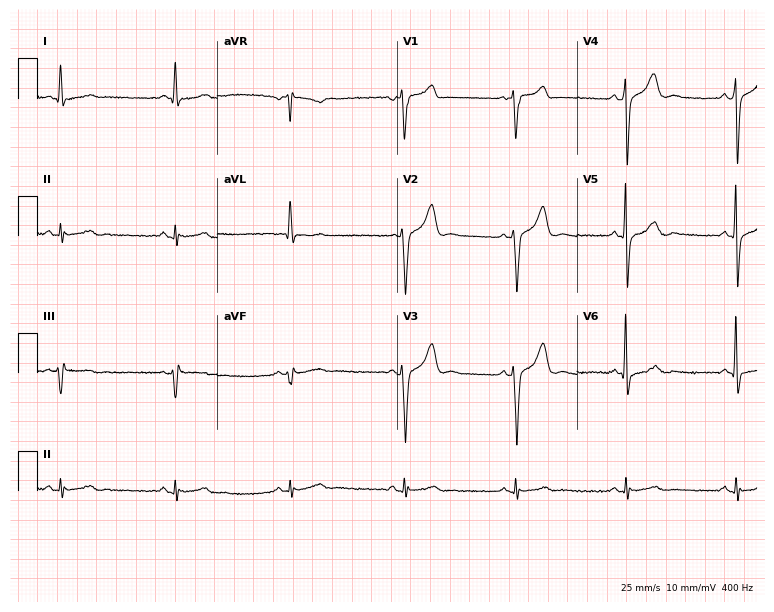
Resting 12-lead electrocardiogram (7.3-second recording at 400 Hz). Patient: a male, 76 years old. None of these six findings is recorded: first-degree AV block, right bundle branch block, left bundle branch block, sinus bradycardia, atrial fibrillation, sinus tachycardia.